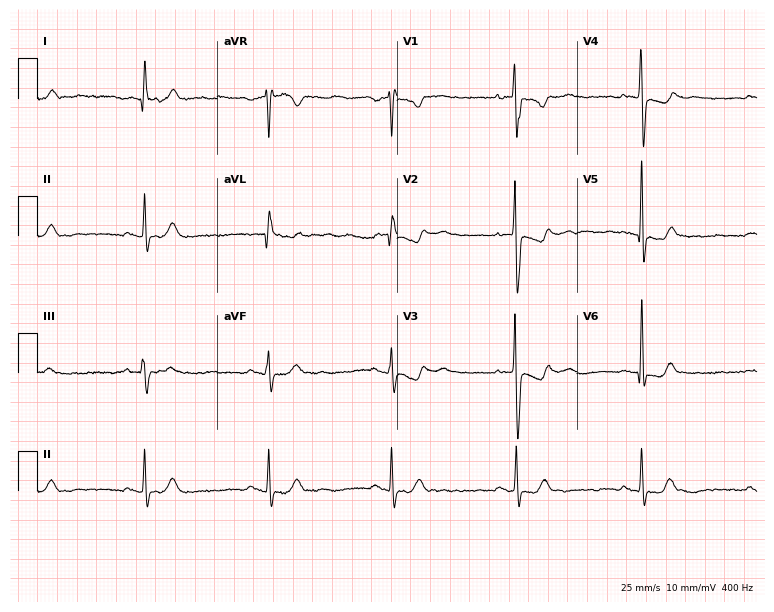
12-lead ECG from a 62-year-old woman (7.3-second recording at 400 Hz). No first-degree AV block, right bundle branch block, left bundle branch block, sinus bradycardia, atrial fibrillation or sinus tachycardia recorded for this tracing. Only these six findings were labelled.